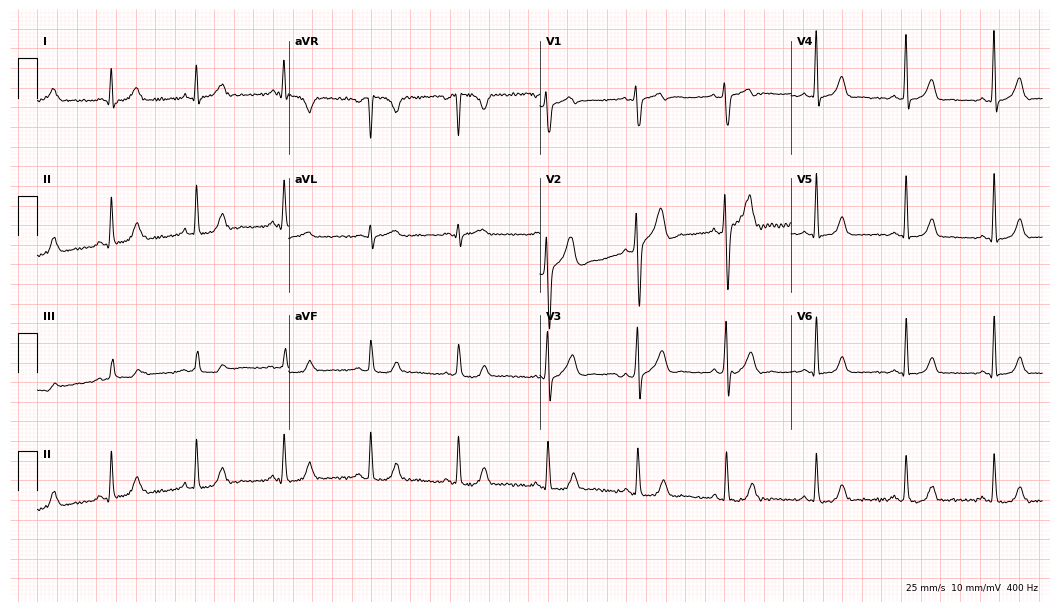
12-lead ECG from a male patient, 39 years old. No first-degree AV block, right bundle branch block, left bundle branch block, sinus bradycardia, atrial fibrillation or sinus tachycardia recorded for this tracing. Other findings, if any, are not listed.